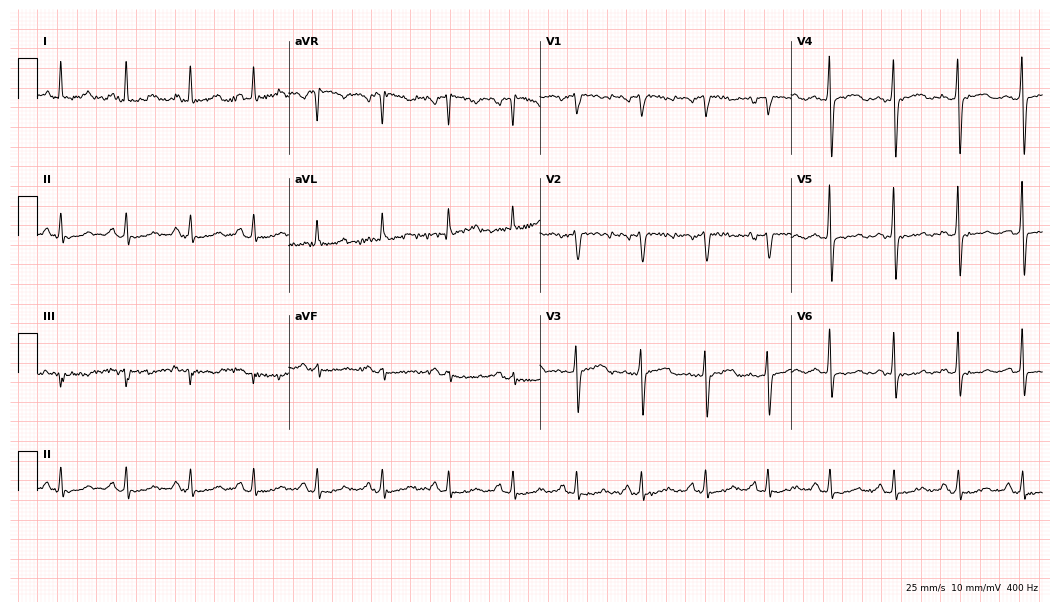
Resting 12-lead electrocardiogram (10.2-second recording at 400 Hz). Patient: a 41-year-old woman. Read as a normal ECG.